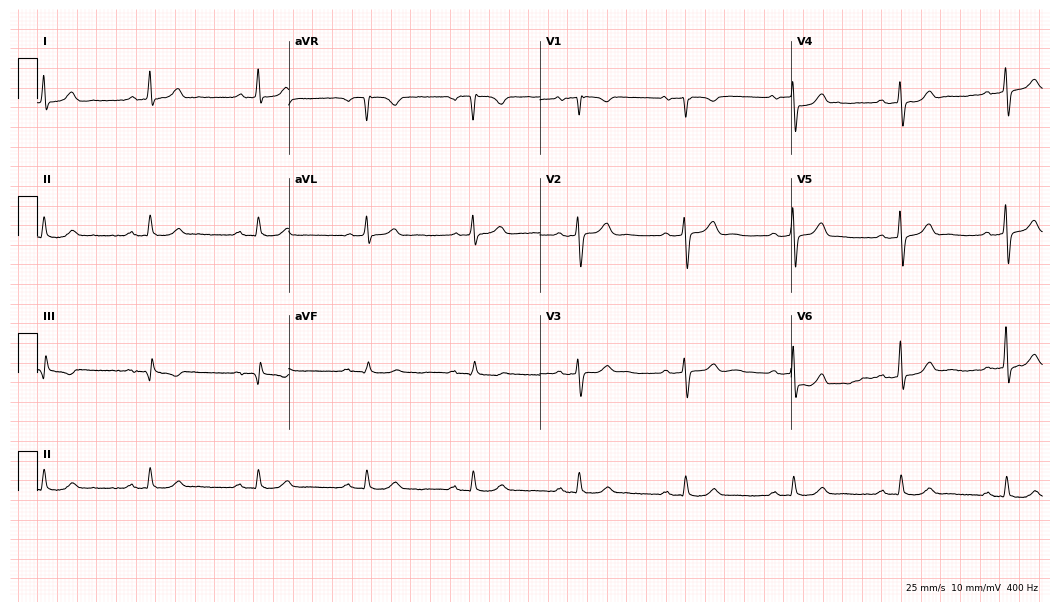
Resting 12-lead electrocardiogram (10.2-second recording at 400 Hz). Patient: a 76-year-old male. None of these six findings is recorded: first-degree AV block, right bundle branch block, left bundle branch block, sinus bradycardia, atrial fibrillation, sinus tachycardia.